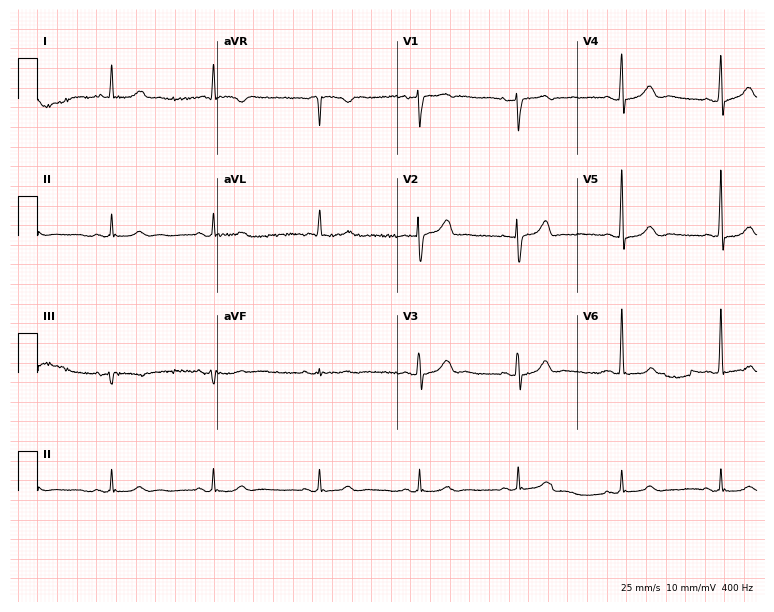
Resting 12-lead electrocardiogram. Patient: a 58-year-old male. Read as a normal ECG.